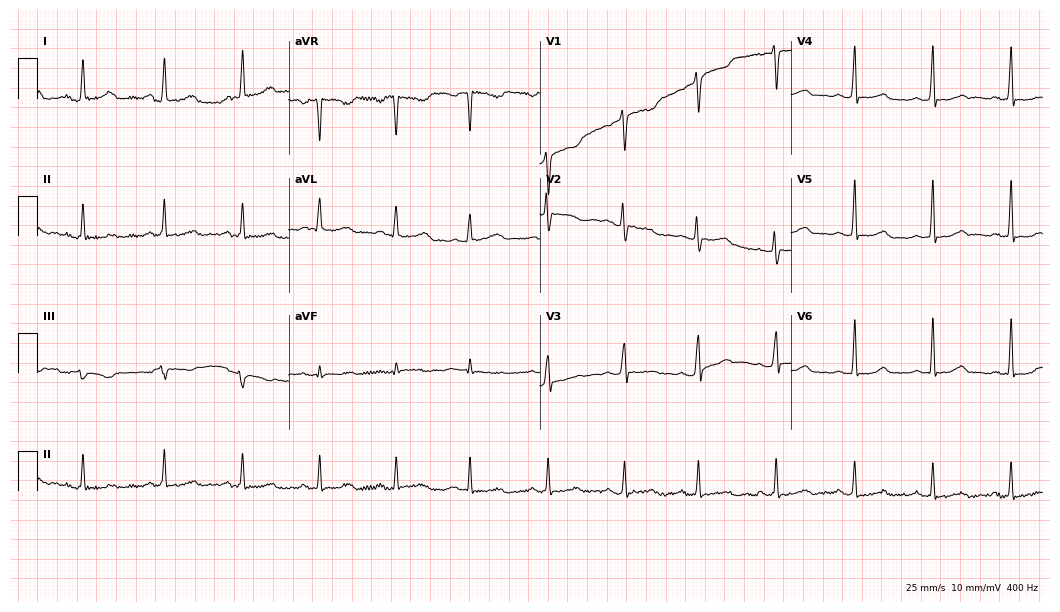
12-lead ECG (10.2-second recording at 400 Hz) from a woman, 37 years old. Screened for six findings — first-degree AV block, right bundle branch block, left bundle branch block, sinus bradycardia, atrial fibrillation, sinus tachycardia — none is recorded. Findings outside these six are not listed.